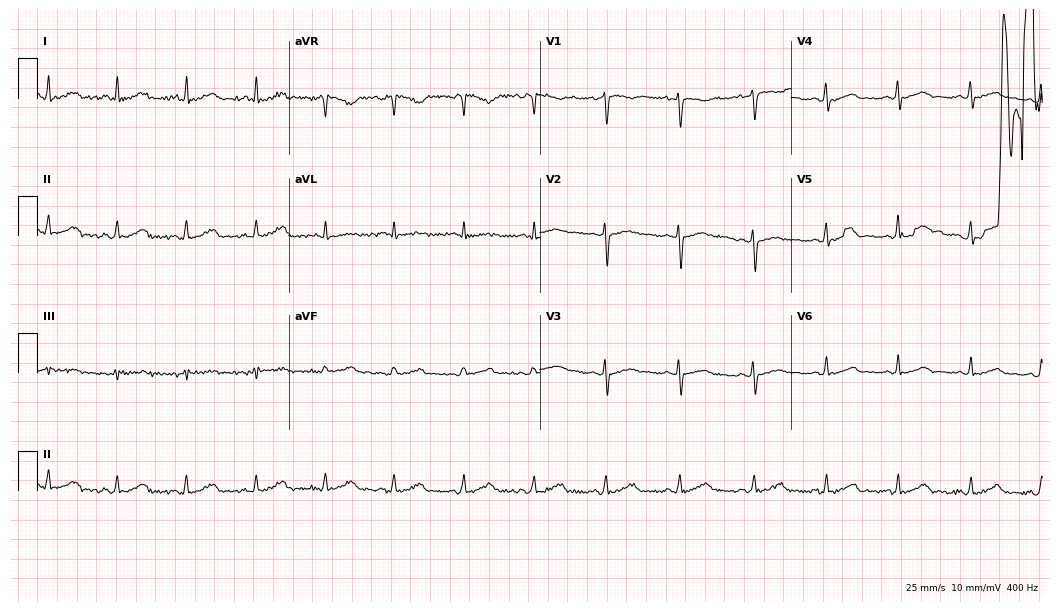
12-lead ECG from a female patient, 27 years old (10.2-second recording at 400 Hz). Recorded interpretation: within normal limits.